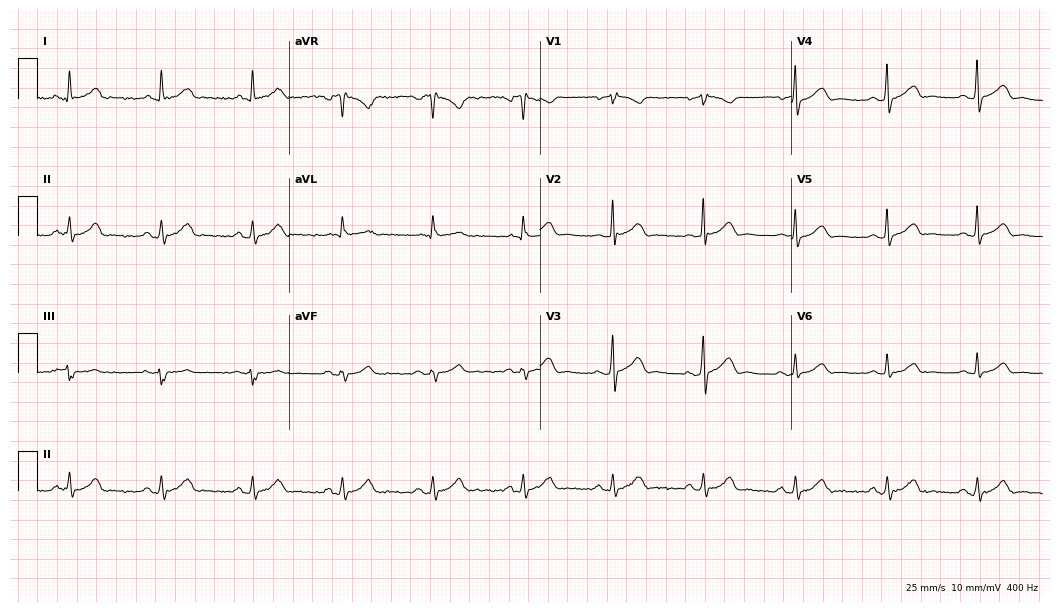
12-lead ECG (10.2-second recording at 400 Hz) from a female patient, 58 years old. Screened for six findings — first-degree AV block, right bundle branch block (RBBB), left bundle branch block (LBBB), sinus bradycardia, atrial fibrillation (AF), sinus tachycardia — none is recorded. Only these six findings were labelled.